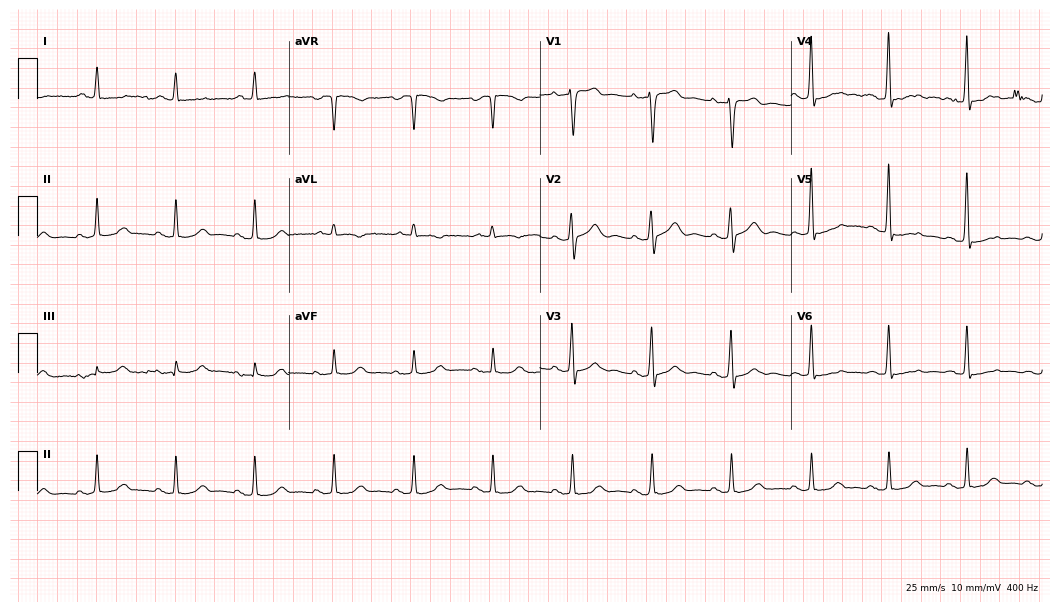
Standard 12-lead ECG recorded from a man, 72 years old (10.2-second recording at 400 Hz). None of these six findings is recorded: first-degree AV block, right bundle branch block, left bundle branch block, sinus bradycardia, atrial fibrillation, sinus tachycardia. Findings outside these six are not listed.